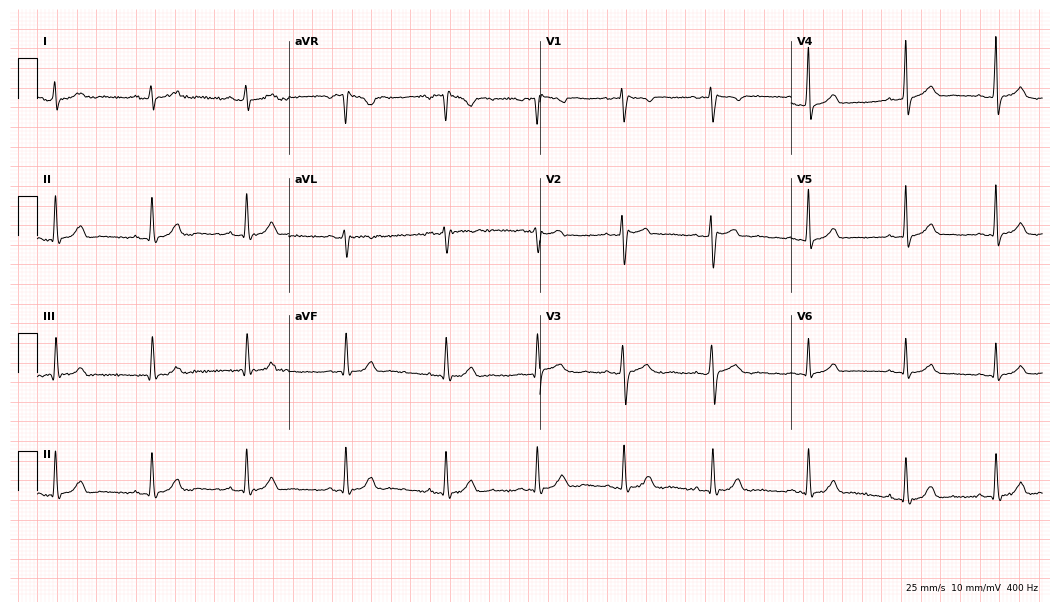
Electrocardiogram, a 36-year-old female patient. Overall reading on record: normal ECG.